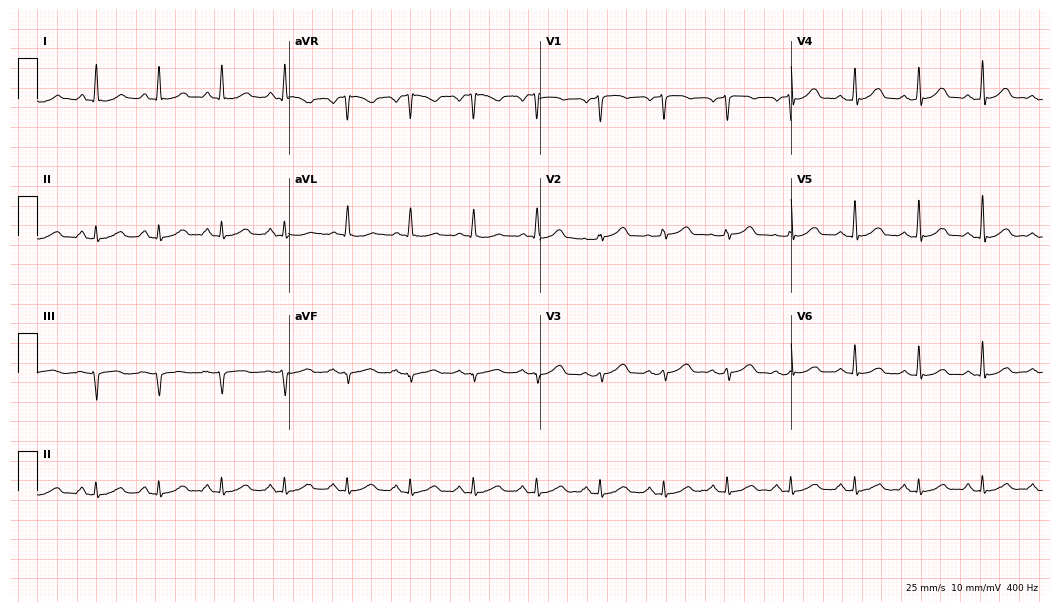
Standard 12-lead ECG recorded from a female, 58 years old. Read as a normal ECG.